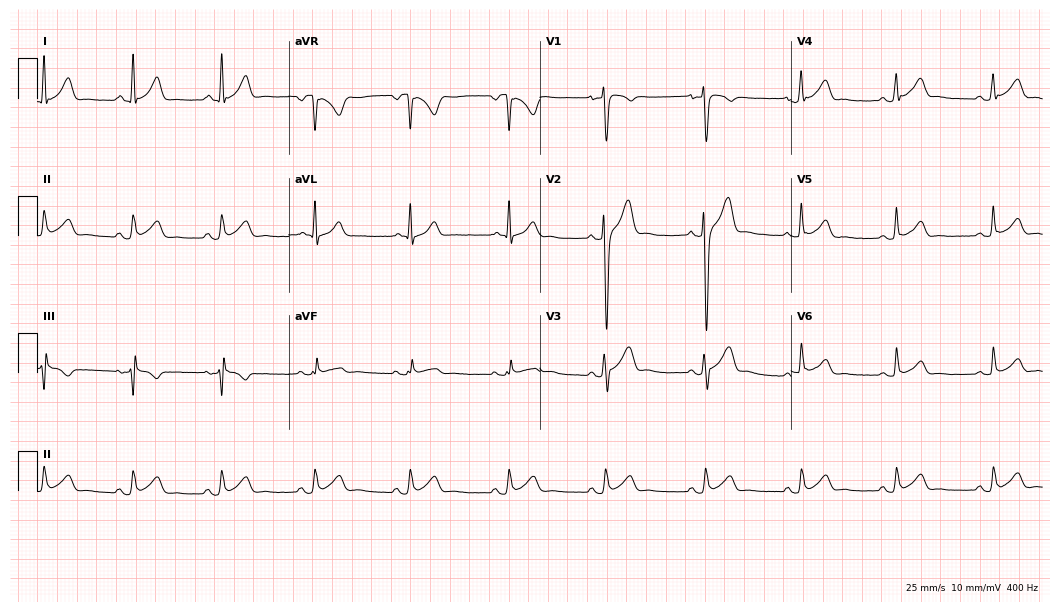
12-lead ECG from a female patient, 34 years old. Screened for six findings — first-degree AV block, right bundle branch block (RBBB), left bundle branch block (LBBB), sinus bradycardia, atrial fibrillation (AF), sinus tachycardia — none is recorded. Findings outside these six are not listed.